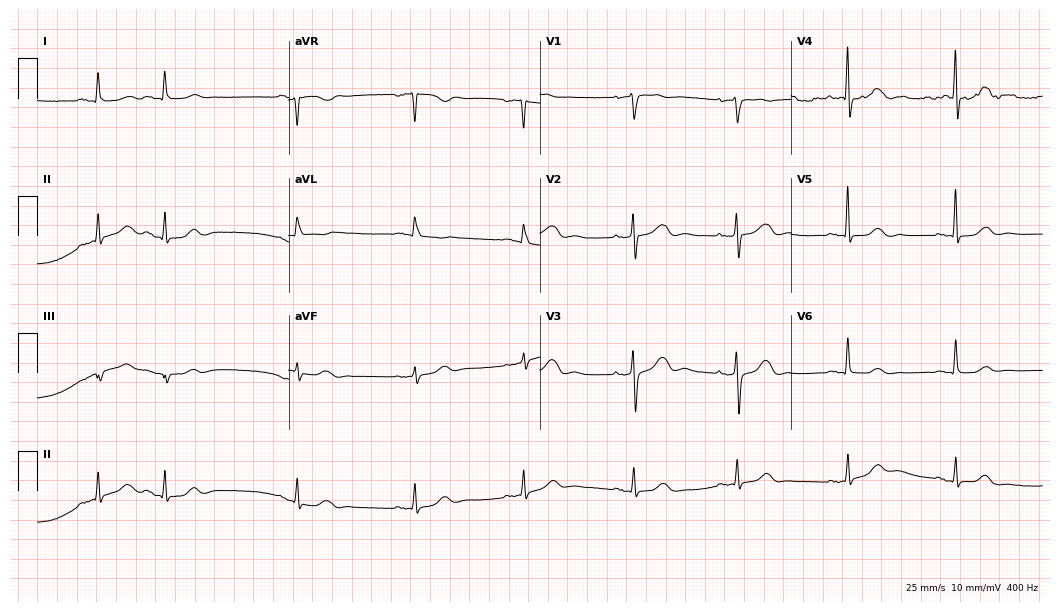
12-lead ECG from a female, 82 years old. No first-degree AV block, right bundle branch block (RBBB), left bundle branch block (LBBB), sinus bradycardia, atrial fibrillation (AF) or sinus tachycardia recorded for this tracing. Findings outside these six are not listed.